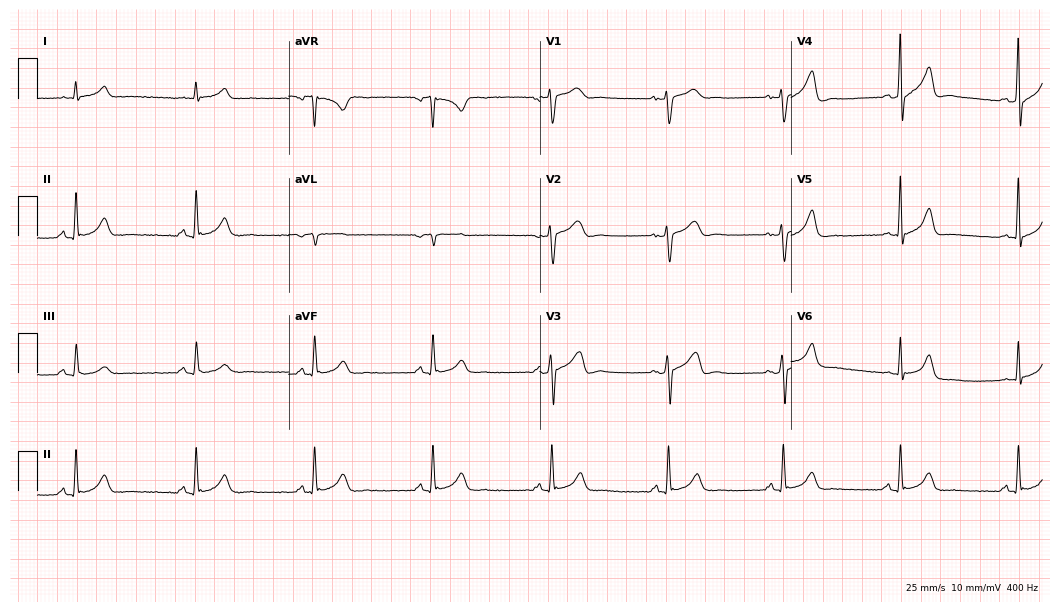
12-lead ECG from a 50-year-old male. Screened for six findings — first-degree AV block, right bundle branch block, left bundle branch block, sinus bradycardia, atrial fibrillation, sinus tachycardia — none is recorded.